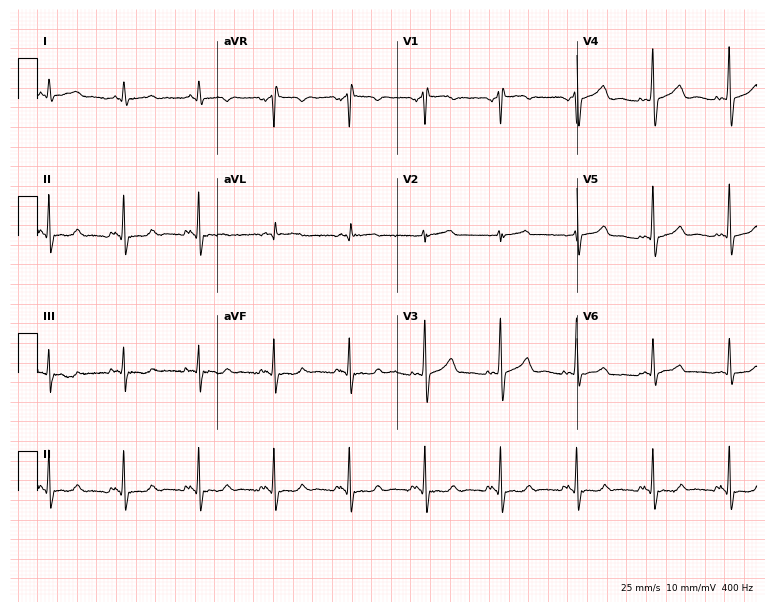
Standard 12-lead ECG recorded from a man, 76 years old (7.3-second recording at 400 Hz). None of these six findings is recorded: first-degree AV block, right bundle branch block, left bundle branch block, sinus bradycardia, atrial fibrillation, sinus tachycardia.